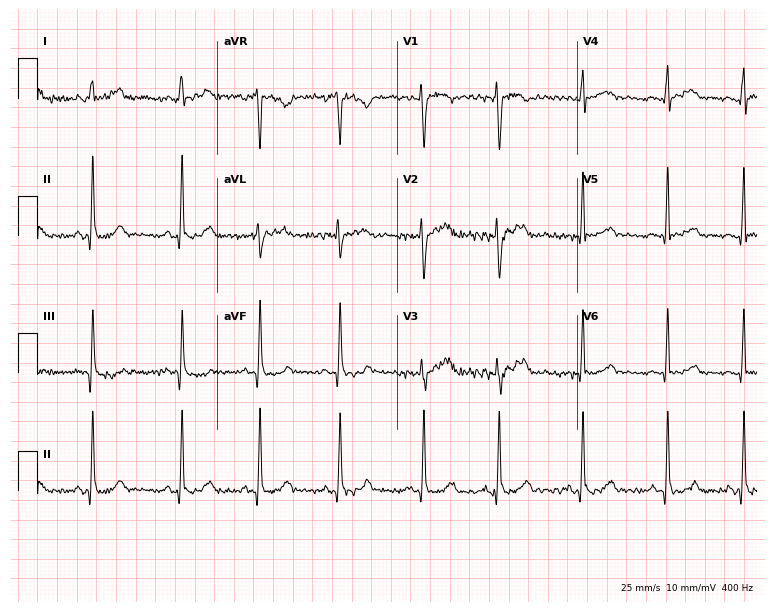
ECG (7.3-second recording at 400 Hz) — a 29-year-old woman. Labelled as a normal ECG.